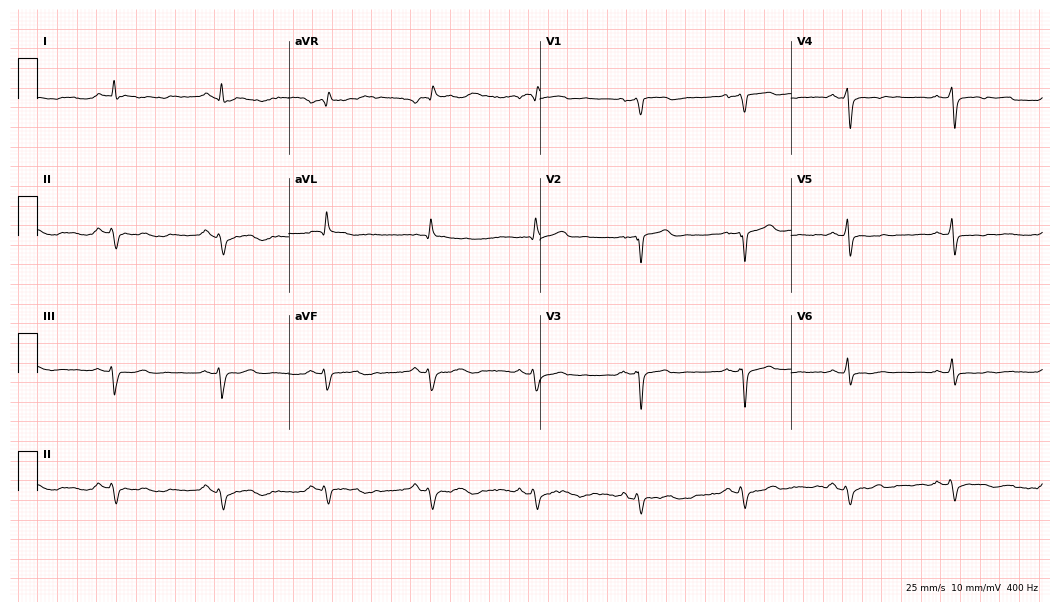
Electrocardiogram, a male, 74 years old. Of the six screened findings (first-degree AV block, right bundle branch block (RBBB), left bundle branch block (LBBB), sinus bradycardia, atrial fibrillation (AF), sinus tachycardia), none is recorded. Findings outside these six are not listed.